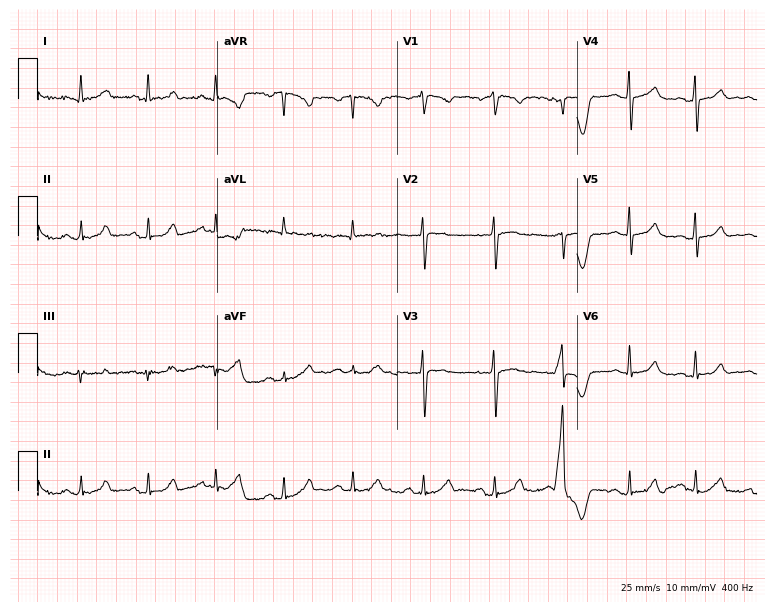
Standard 12-lead ECG recorded from a 48-year-old woman (7.3-second recording at 400 Hz). Read as a normal ECG.